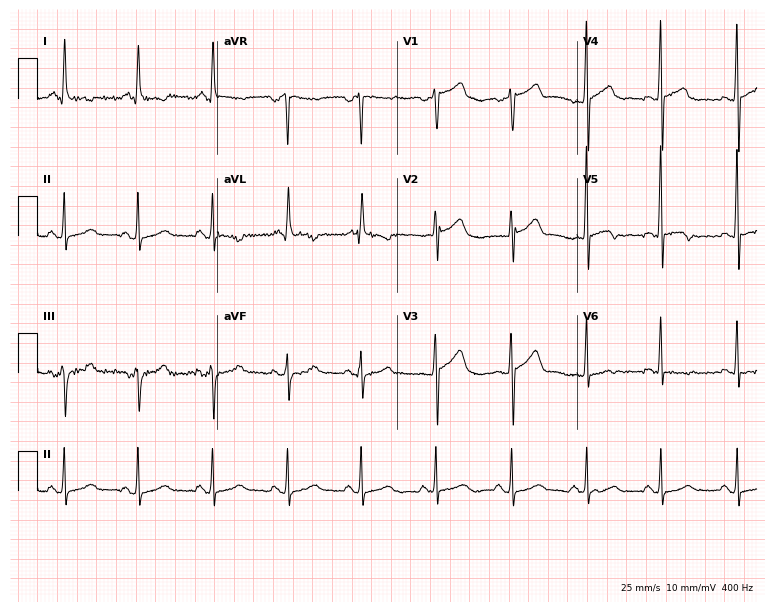
Resting 12-lead electrocardiogram. Patient: a female, 58 years old. None of these six findings is recorded: first-degree AV block, right bundle branch block, left bundle branch block, sinus bradycardia, atrial fibrillation, sinus tachycardia.